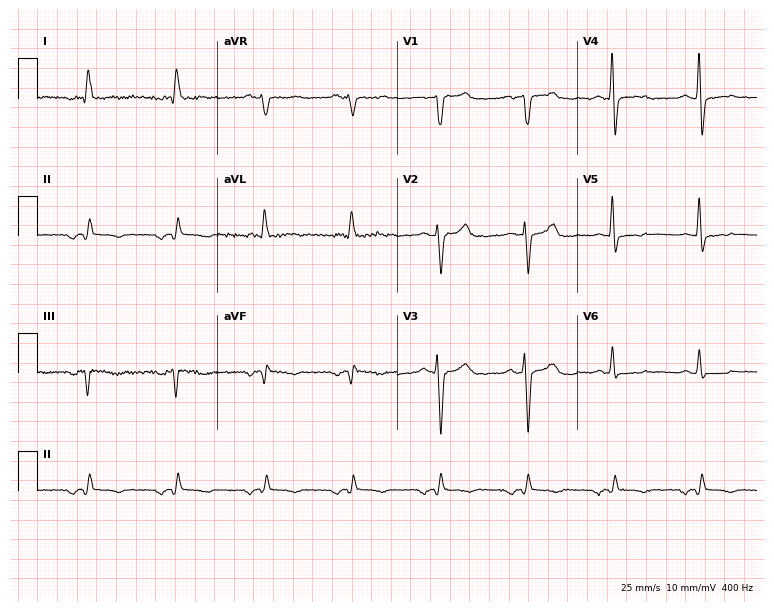
12-lead ECG from a 78-year-old man. No first-degree AV block, right bundle branch block, left bundle branch block, sinus bradycardia, atrial fibrillation or sinus tachycardia recorded for this tracing.